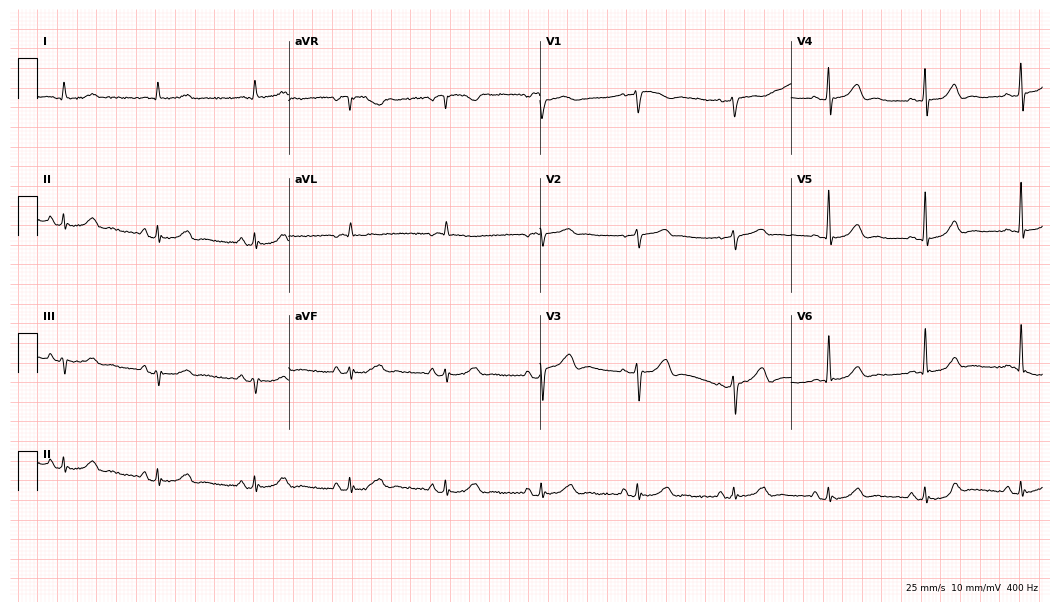
Standard 12-lead ECG recorded from an 84-year-old man. Read as a normal ECG.